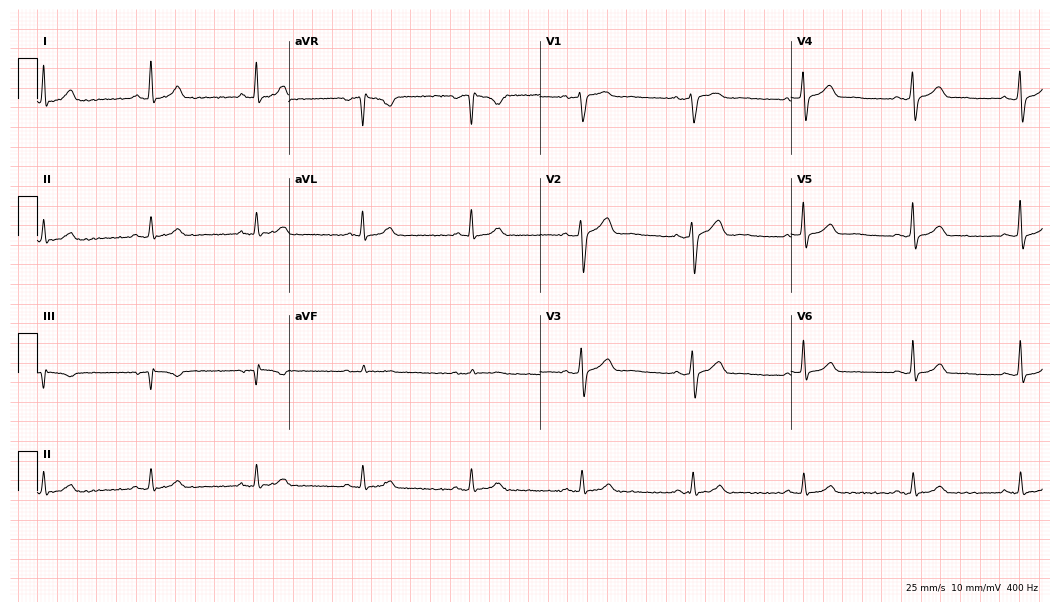
Resting 12-lead electrocardiogram (10.2-second recording at 400 Hz). Patient: a 55-year-old male. Read as a normal ECG.